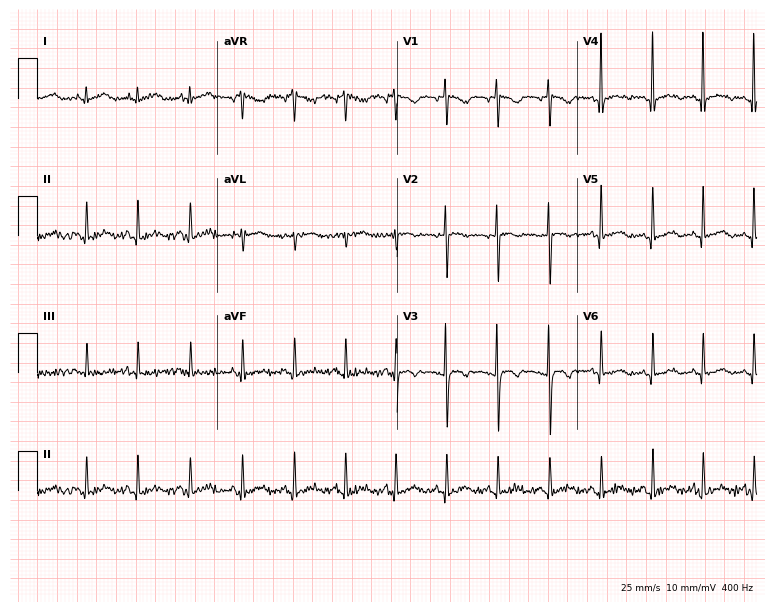
Resting 12-lead electrocardiogram (7.3-second recording at 400 Hz). Patient: a male, 18 years old. The tracing shows sinus tachycardia (a sinus rate of 100 beats per minute or more).